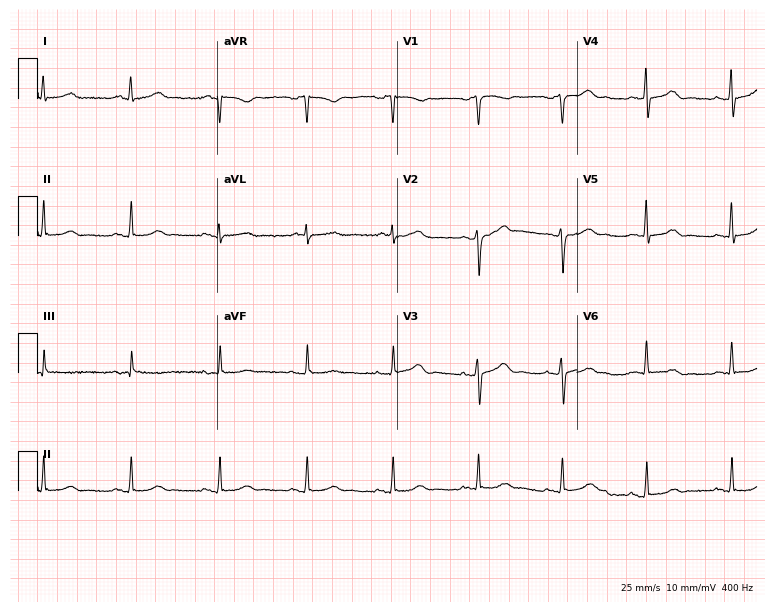
Resting 12-lead electrocardiogram (7.3-second recording at 400 Hz). Patient: a male, 62 years old. Read as a normal ECG.